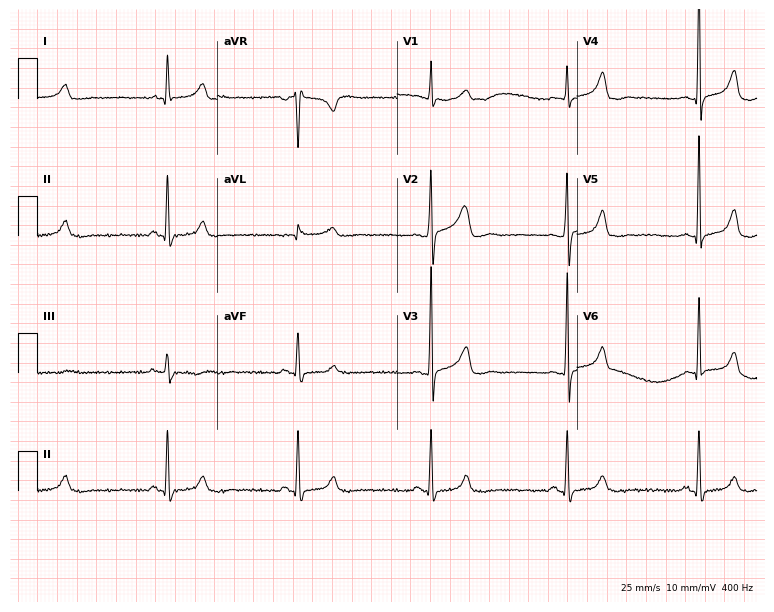
Resting 12-lead electrocardiogram (7.3-second recording at 400 Hz). Patient: a man, 45 years old. The tracing shows sinus bradycardia (a sinus rate of 50 beats per minute or less).